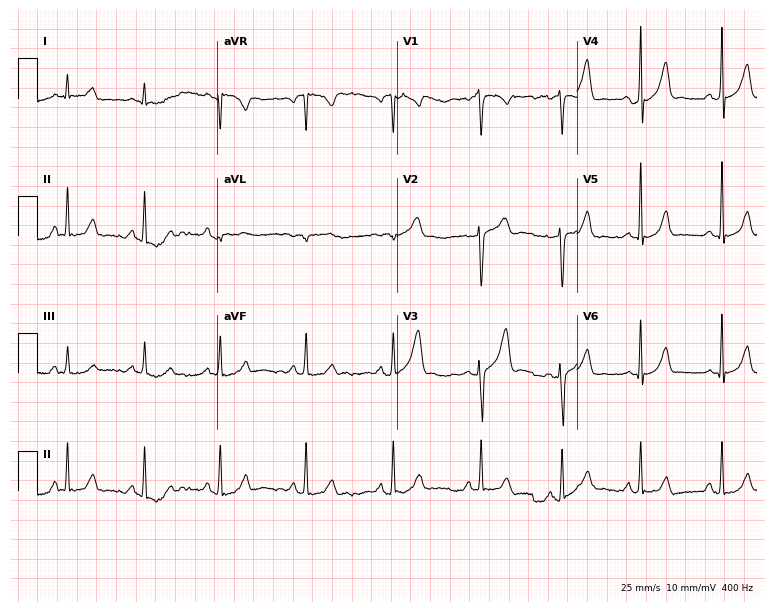
Standard 12-lead ECG recorded from a male, 23 years old (7.3-second recording at 400 Hz). Read as a normal ECG.